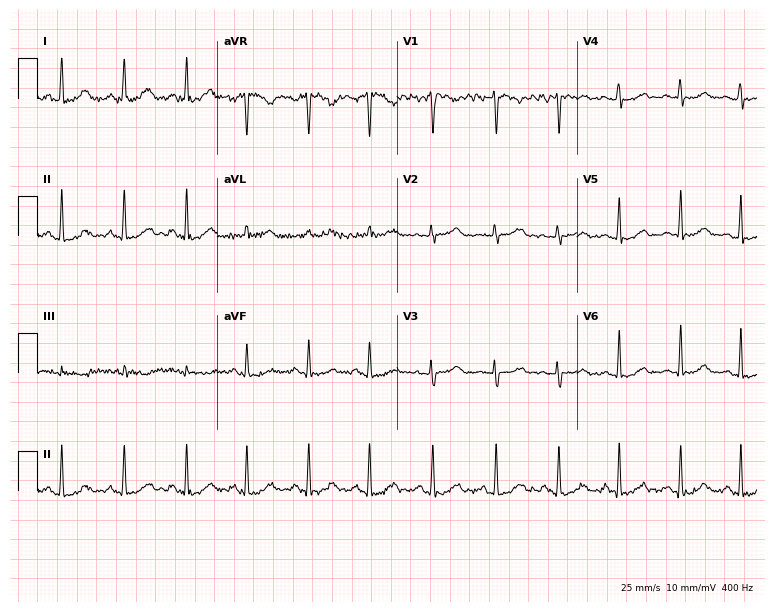
Standard 12-lead ECG recorded from a 34-year-old female (7.3-second recording at 400 Hz). Read as a normal ECG.